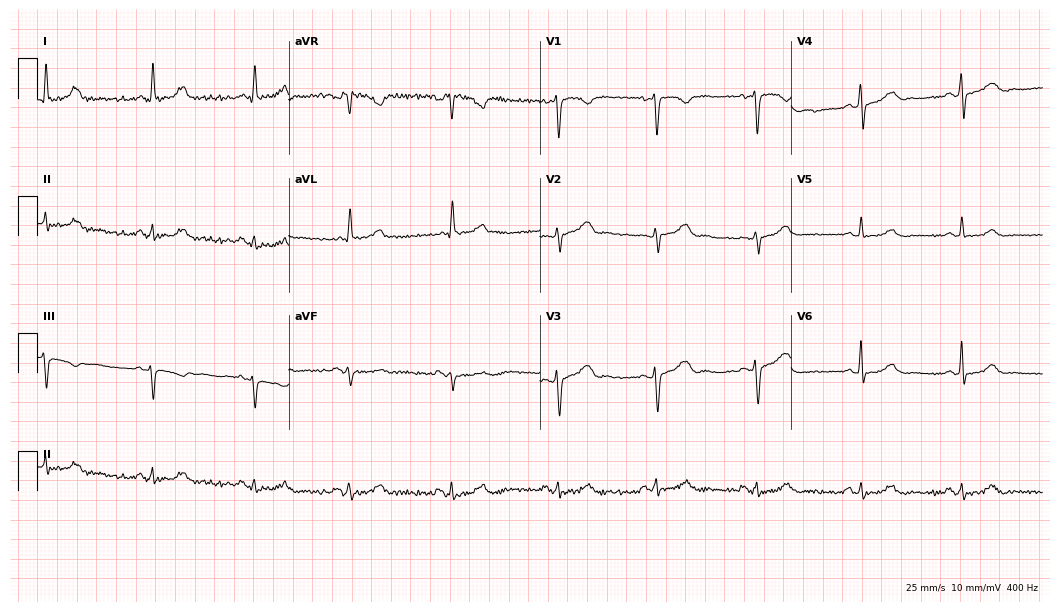
Resting 12-lead electrocardiogram. Patient: a 40-year-old female. Read as a normal ECG.